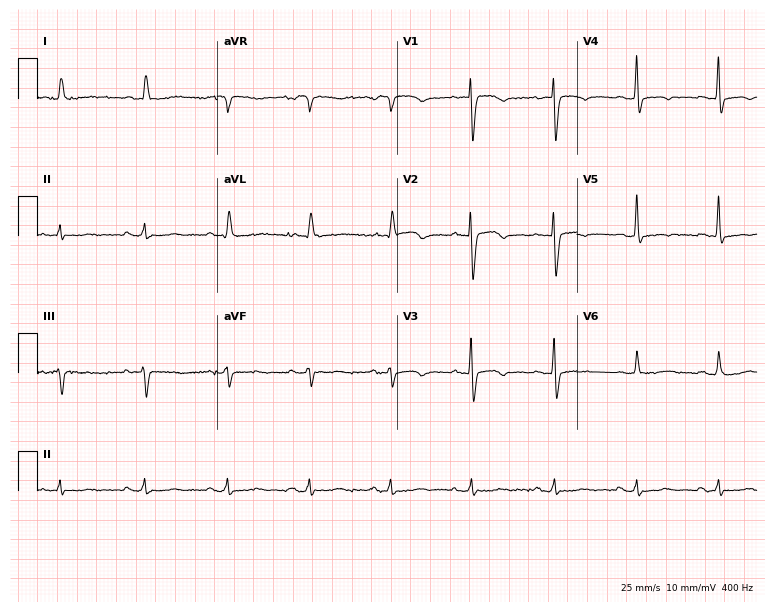
12-lead ECG from an 85-year-old female (7.3-second recording at 400 Hz). No first-degree AV block, right bundle branch block, left bundle branch block, sinus bradycardia, atrial fibrillation or sinus tachycardia recorded for this tracing.